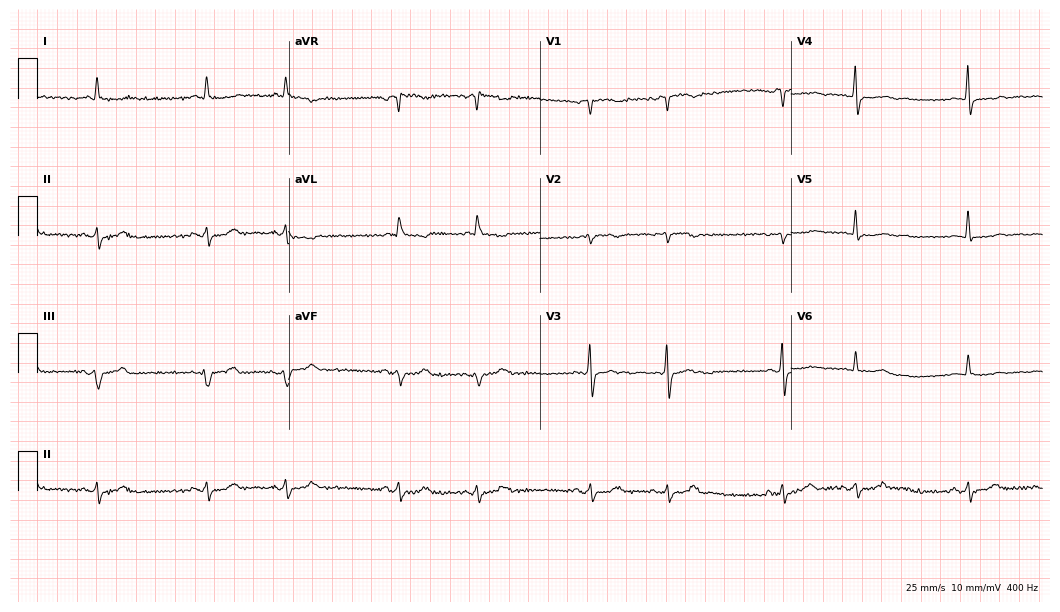
Standard 12-lead ECG recorded from a female patient, 79 years old (10.2-second recording at 400 Hz). None of these six findings is recorded: first-degree AV block, right bundle branch block (RBBB), left bundle branch block (LBBB), sinus bradycardia, atrial fibrillation (AF), sinus tachycardia.